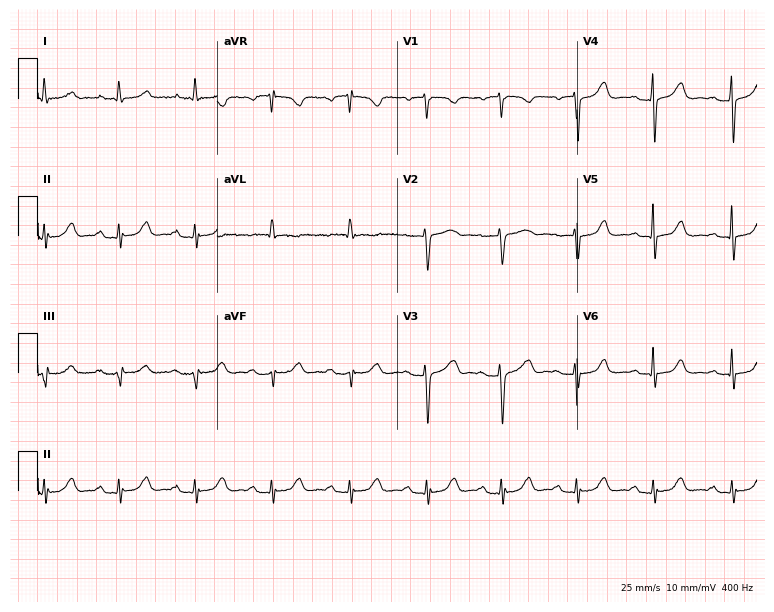
ECG (7.3-second recording at 400 Hz) — a female patient, 75 years old. Findings include first-degree AV block.